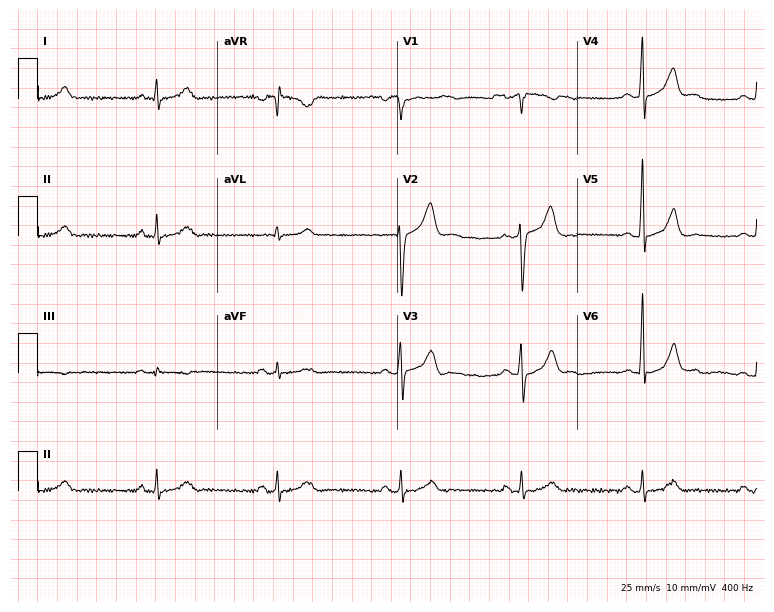
Standard 12-lead ECG recorded from a 55-year-old man. None of these six findings is recorded: first-degree AV block, right bundle branch block, left bundle branch block, sinus bradycardia, atrial fibrillation, sinus tachycardia.